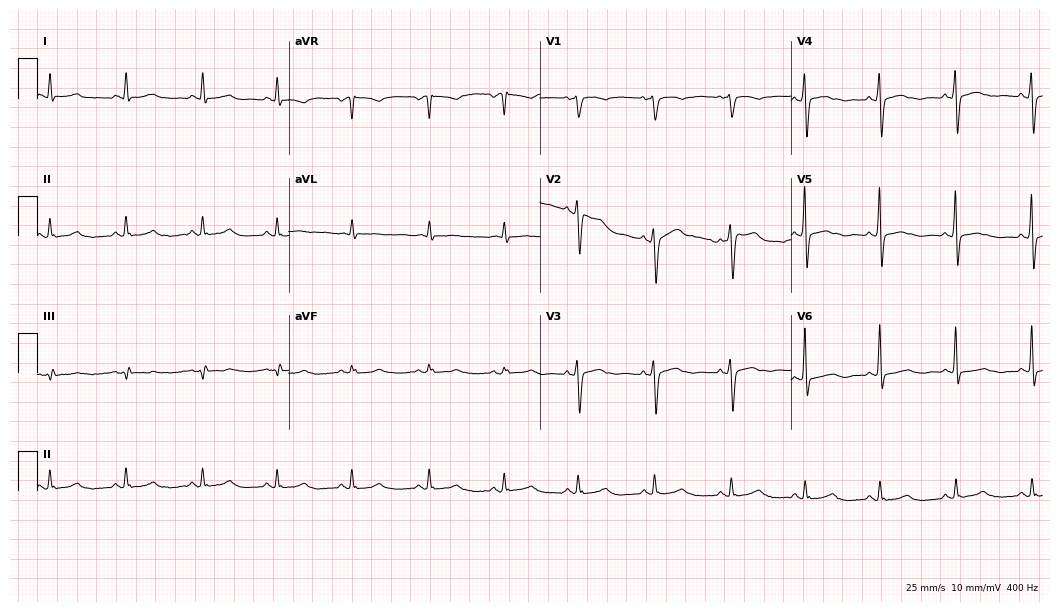
Resting 12-lead electrocardiogram (10.2-second recording at 400 Hz). Patient: a woman, 58 years old. None of these six findings is recorded: first-degree AV block, right bundle branch block, left bundle branch block, sinus bradycardia, atrial fibrillation, sinus tachycardia. Only these six findings were labelled.